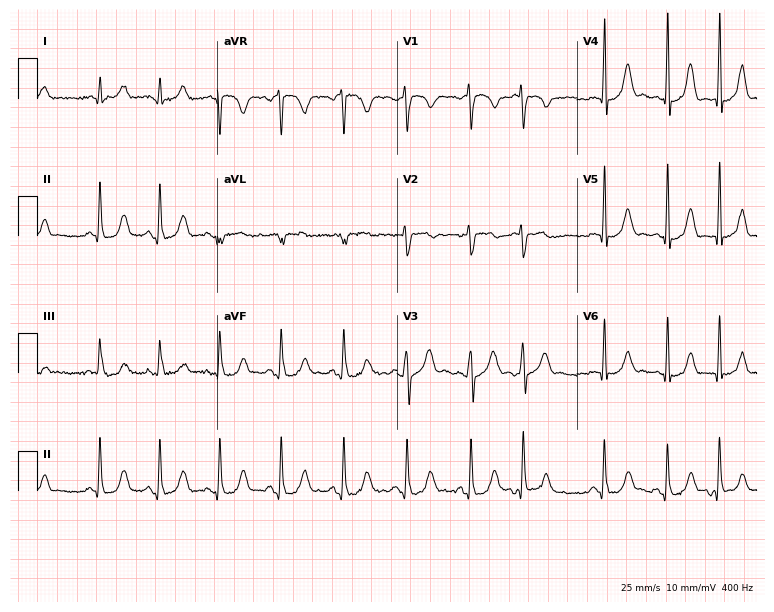
Standard 12-lead ECG recorded from a female, 23 years old. None of these six findings is recorded: first-degree AV block, right bundle branch block, left bundle branch block, sinus bradycardia, atrial fibrillation, sinus tachycardia. Only these six findings were labelled.